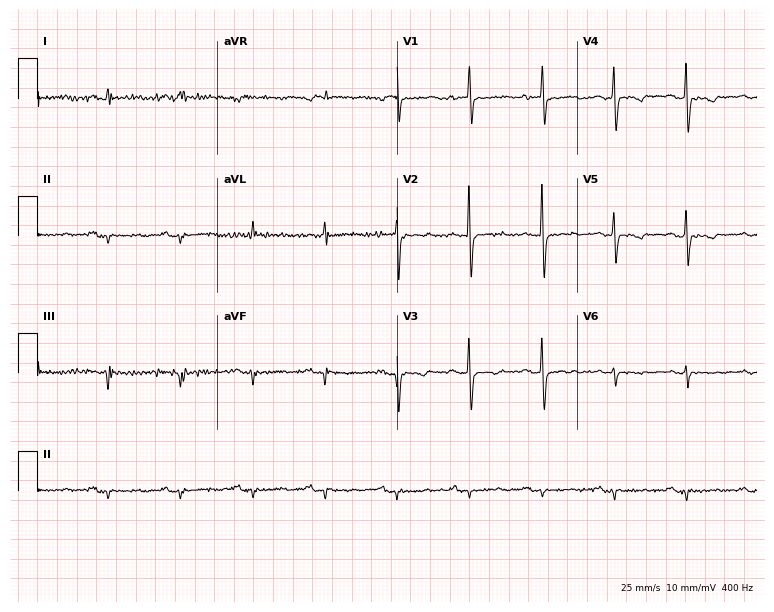
Standard 12-lead ECG recorded from a female patient, 66 years old. None of these six findings is recorded: first-degree AV block, right bundle branch block, left bundle branch block, sinus bradycardia, atrial fibrillation, sinus tachycardia. Other findings, if any, are not listed.